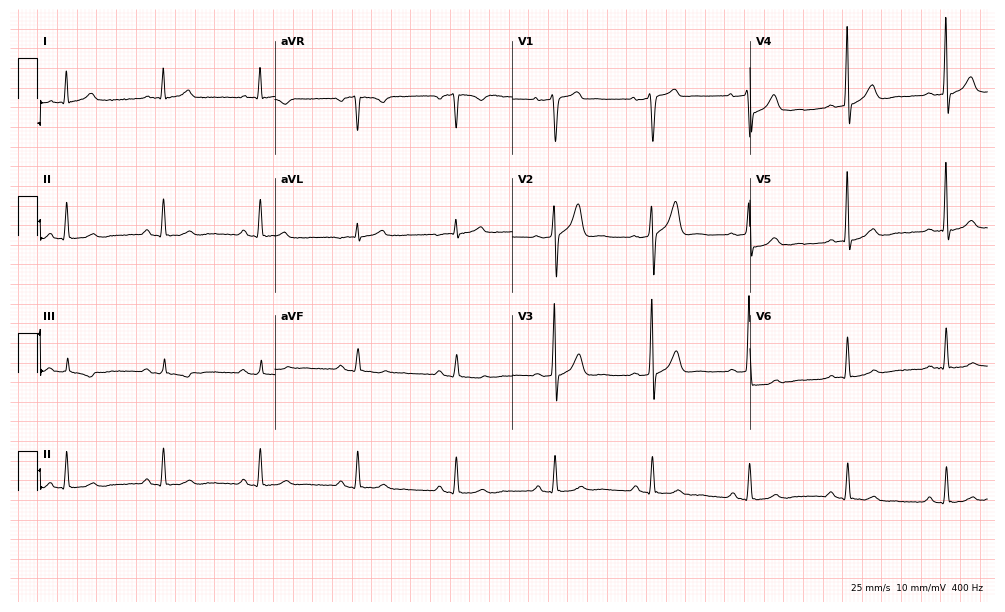
Resting 12-lead electrocardiogram. Patient: a 58-year-old male. None of these six findings is recorded: first-degree AV block, right bundle branch block, left bundle branch block, sinus bradycardia, atrial fibrillation, sinus tachycardia. Only these six findings were labelled.